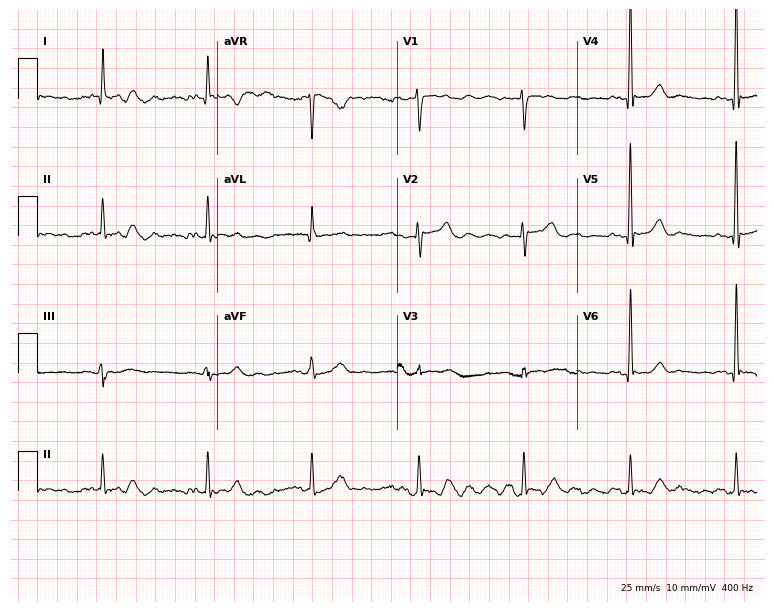
ECG — an 85-year-old female patient. Screened for six findings — first-degree AV block, right bundle branch block, left bundle branch block, sinus bradycardia, atrial fibrillation, sinus tachycardia — none is recorded. Other findings, if any, are not listed.